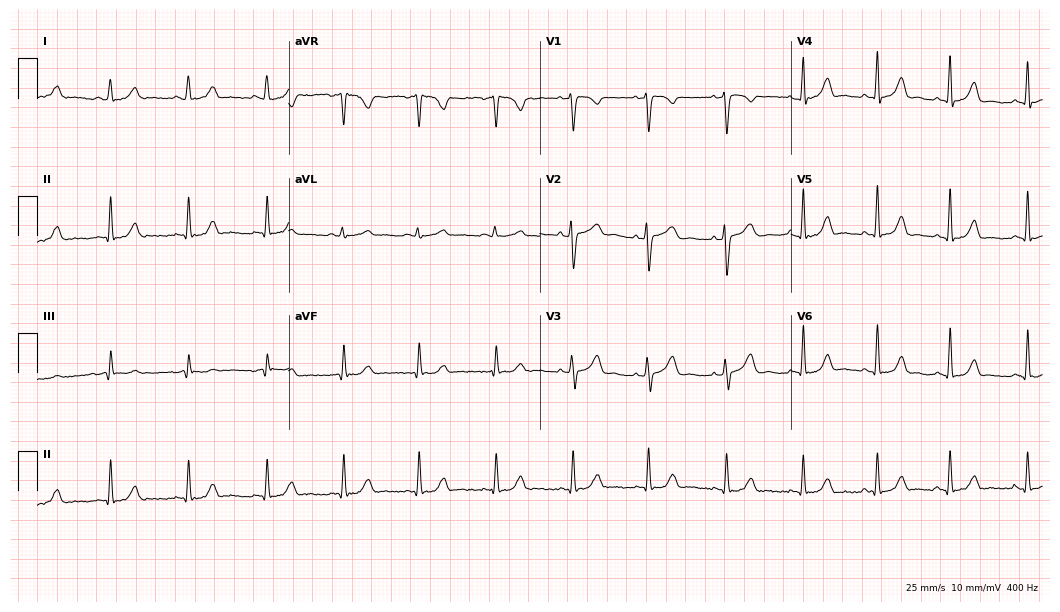
12-lead ECG (10.2-second recording at 400 Hz) from a 35-year-old female. Labelled as a normal ECG.